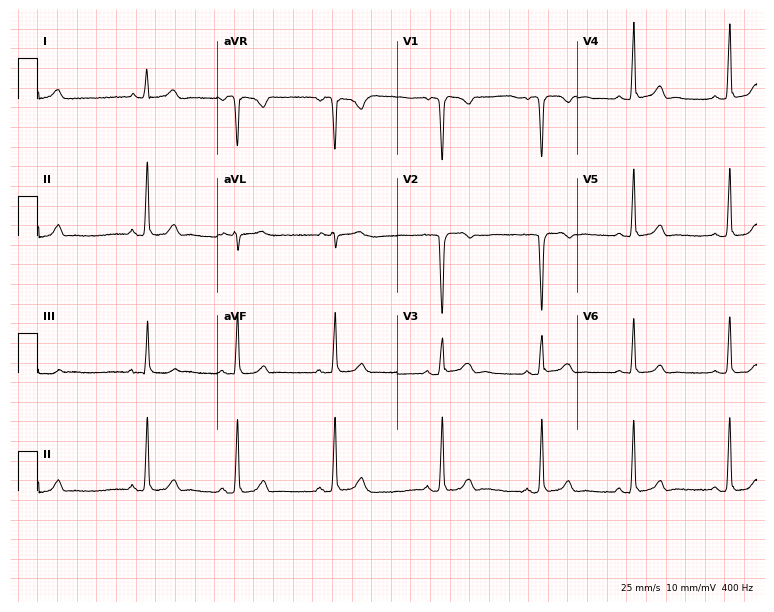
ECG — a female patient, 20 years old. Labelled as a normal ECG.